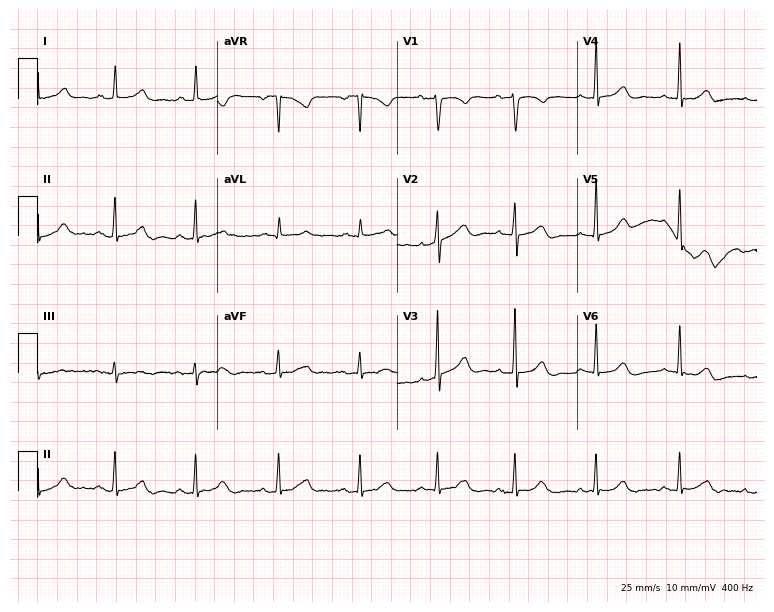
12-lead ECG from a 41-year-old woman. Recorded interpretation: within normal limits.